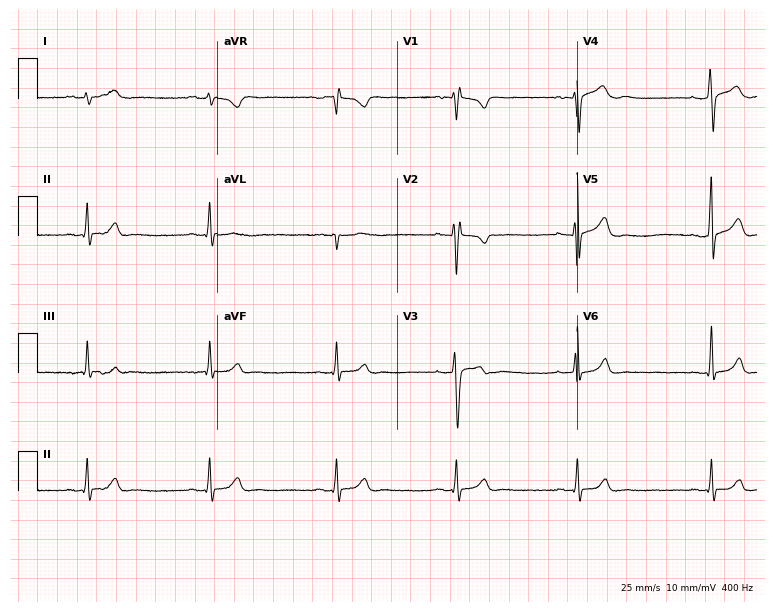
12-lead ECG from a 19-year-old man. Findings include sinus bradycardia (a sinus rate of 50 beats per minute or less).